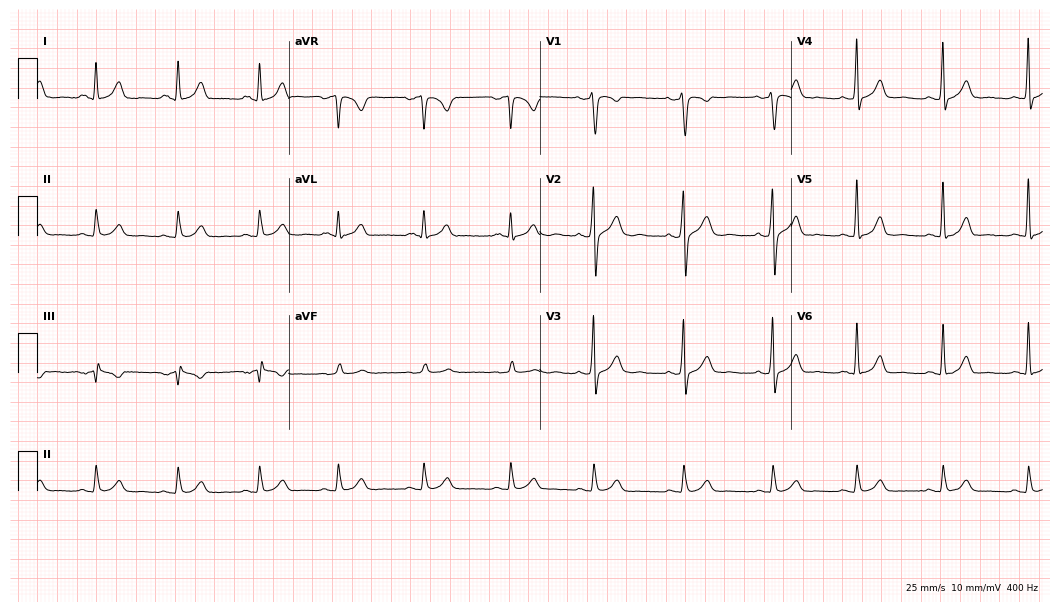
Electrocardiogram (10.2-second recording at 400 Hz), a 30-year-old male patient. Overall reading on record: normal ECG.